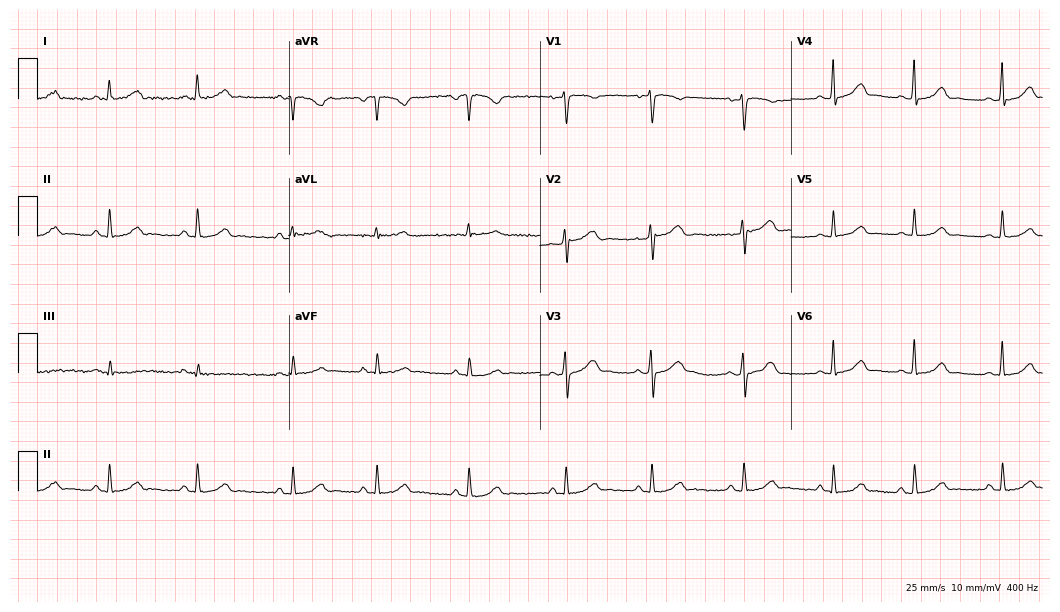
Standard 12-lead ECG recorded from a woman, 31 years old. None of these six findings is recorded: first-degree AV block, right bundle branch block, left bundle branch block, sinus bradycardia, atrial fibrillation, sinus tachycardia.